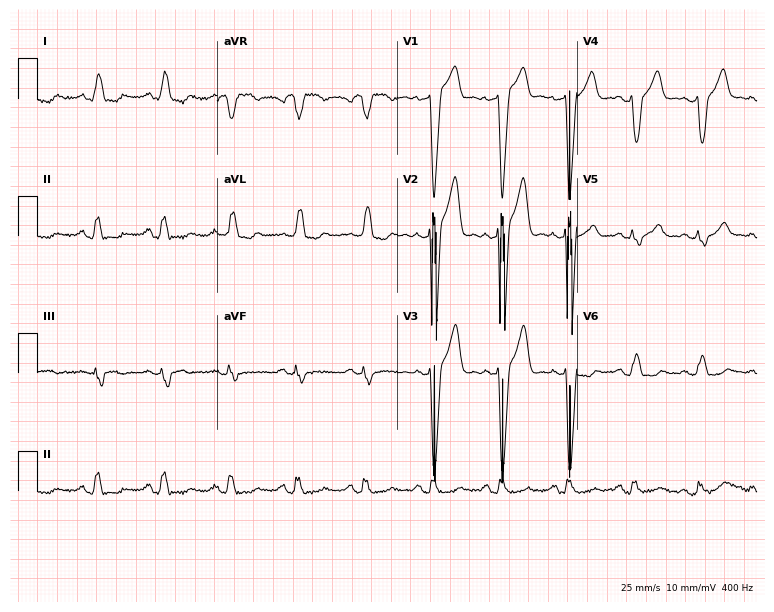
12-lead ECG from a male, 43 years old (7.3-second recording at 400 Hz). No first-degree AV block, right bundle branch block, left bundle branch block, sinus bradycardia, atrial fibrillation or sinus tachycardia recorded for this tracing. Findings outside these six are not listed.